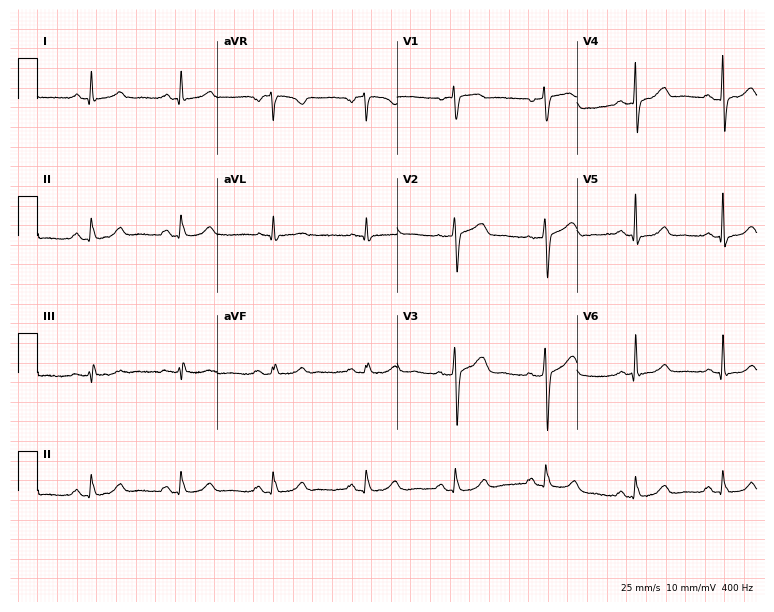
12-lead ECG from a 49-year-old woman. Recorded interpretation: within normal limits.